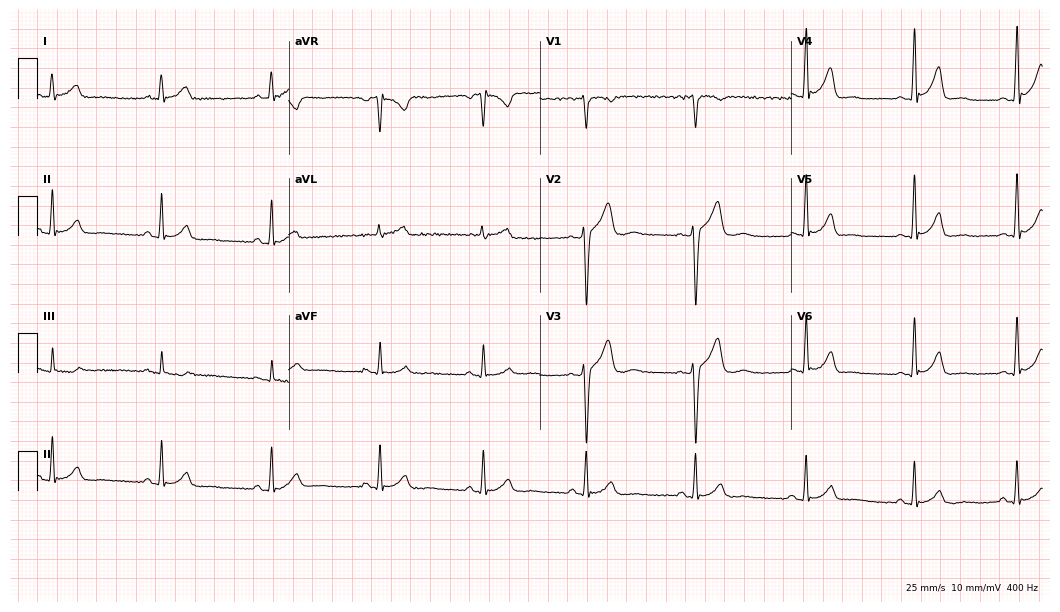
Standard 12-lead ECG recorded from a 30-year-old male patient (10.2-second recording at 400 Hz). None of these six findings is recorded: first-degree AV block, right bundle branch block, left bundle branch block, sinus bradycardia, atrial fibrillation, sinus tachycardia.